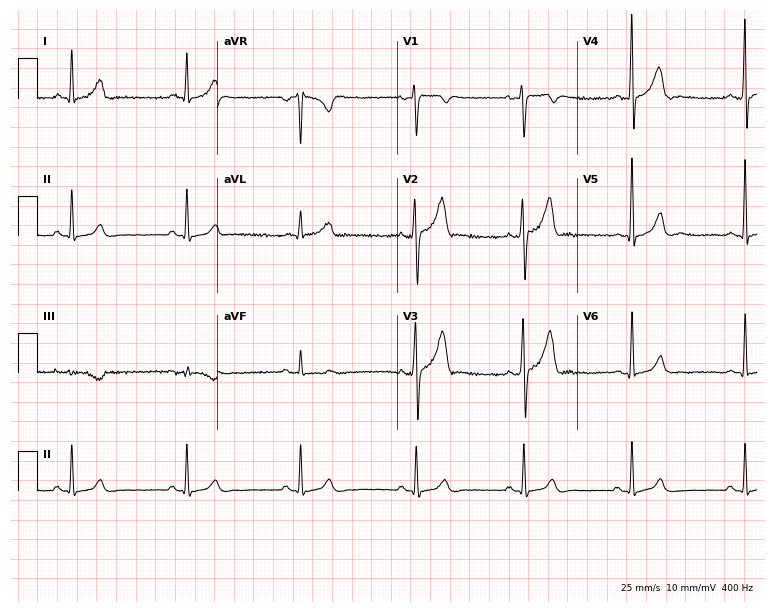
12-lead ECG from a female patient, 32 years old (7.3-second recording at 400 Hz). No first-degree AV block, right bundle branch block (RBBB), left bundle branch block (LBBB), sinus bradycardia, atrial fibrillation (AF) or sinus tachycardia recorded for this tracing.